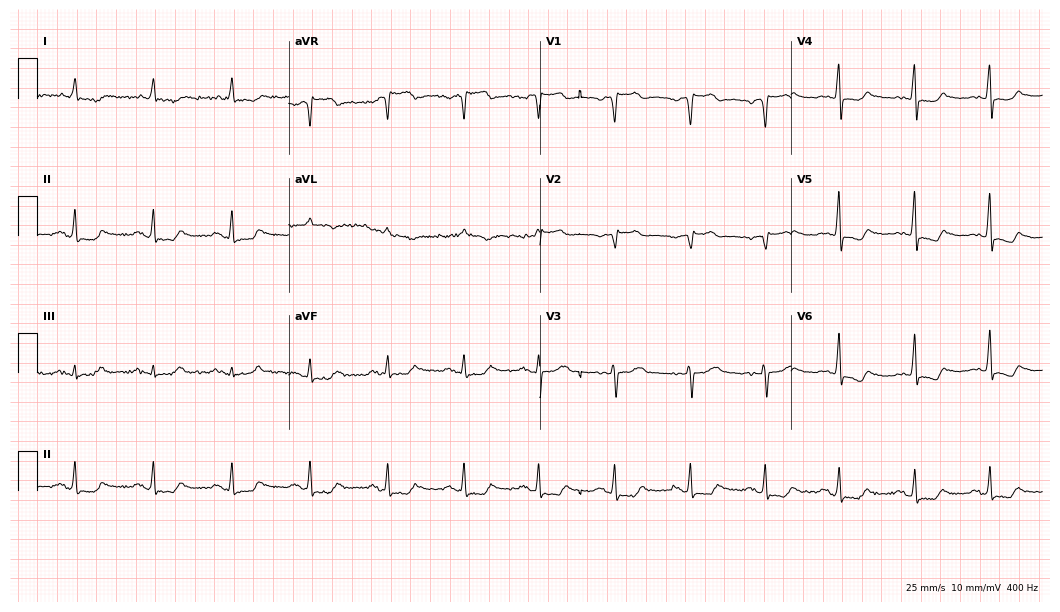
Standard 12-lead ECG recorded from a male, 77 years old (10.2-second recording at 400 Hz). None of these six findings is recorded: first-degree AV block, right bundle branch block (RBBB), left bundle branch block (LBBB), sinus bradycardia, atrial fibrillation (AF), sinus tachycardia. Findings outside these six are not listed.